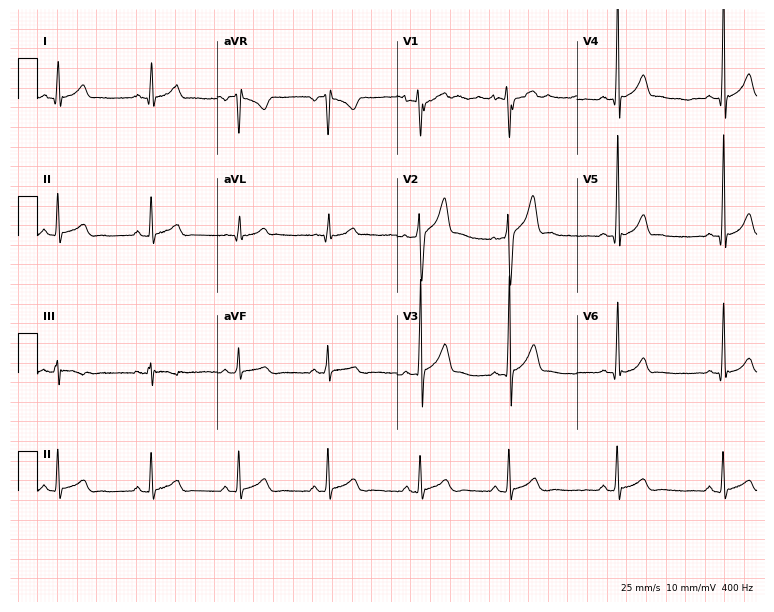
12-lead ECG from a 23-year-old male patient. Labelled as a normal ECG.